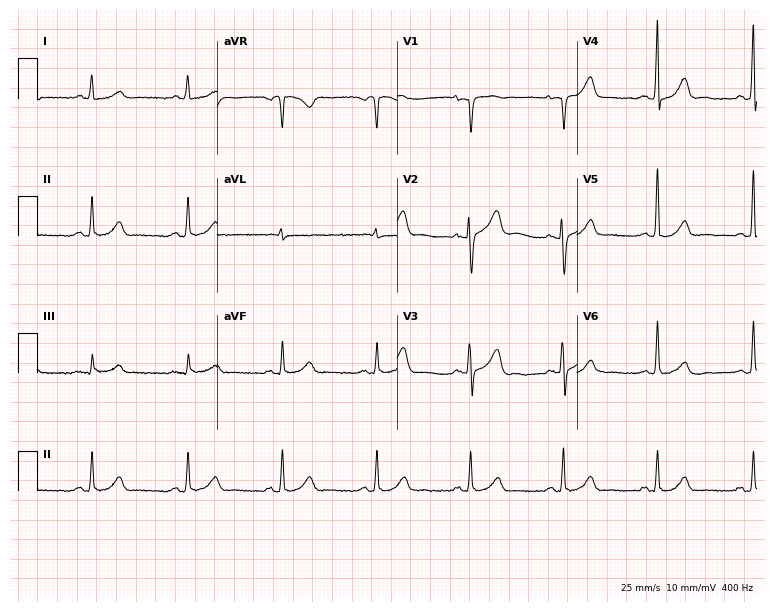
Standard 12-lead ECG recorded from a 54-year-old woman (7.3-second recording at 400 Hz). None of these six findings is recorded: first-degree AV block, right bundle branch block (RBBB), left bundle branch block (LBBB), sinus bradycardia, atrial fibrillation (AF), sinus tachycardia.